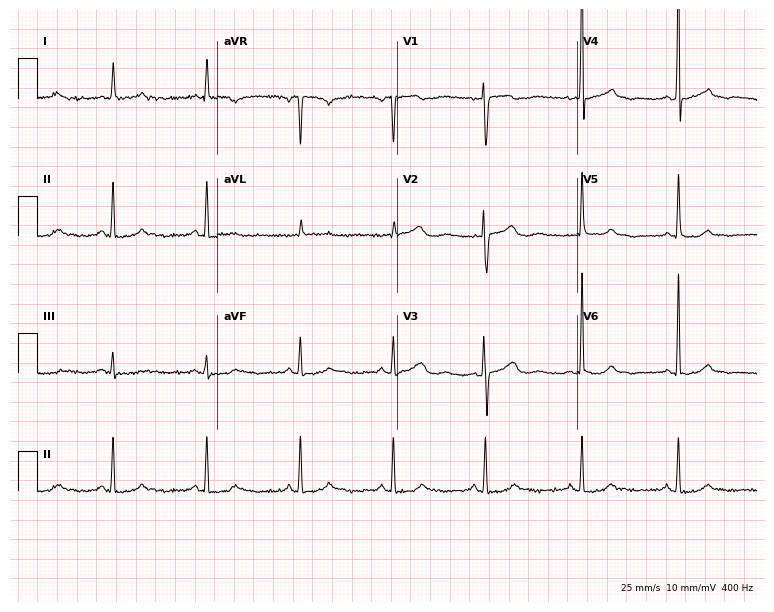
Electrocardiogram (7.3-second recording at 400 Hz), a 56-year-old female patient. Of the six screened findings (first-degree AV block, right bundle branch block (RBBB), left bundle branch block (LBBB), sinus bradycardia, atrial fibrillation (AF), sinus tachycardia), none is recorded. Findings outside these six are not listed.